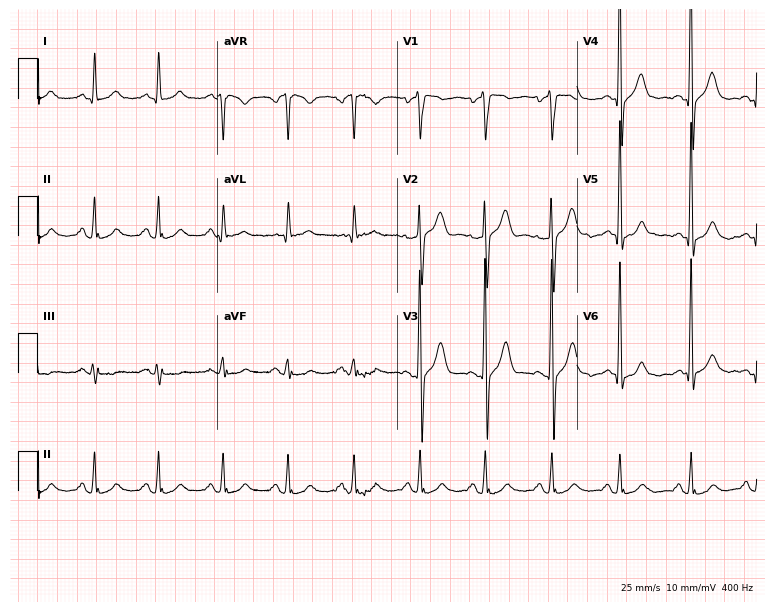
Electrocardiogram, a male patient, 60 years old. Overall reading on record: normal ECG.